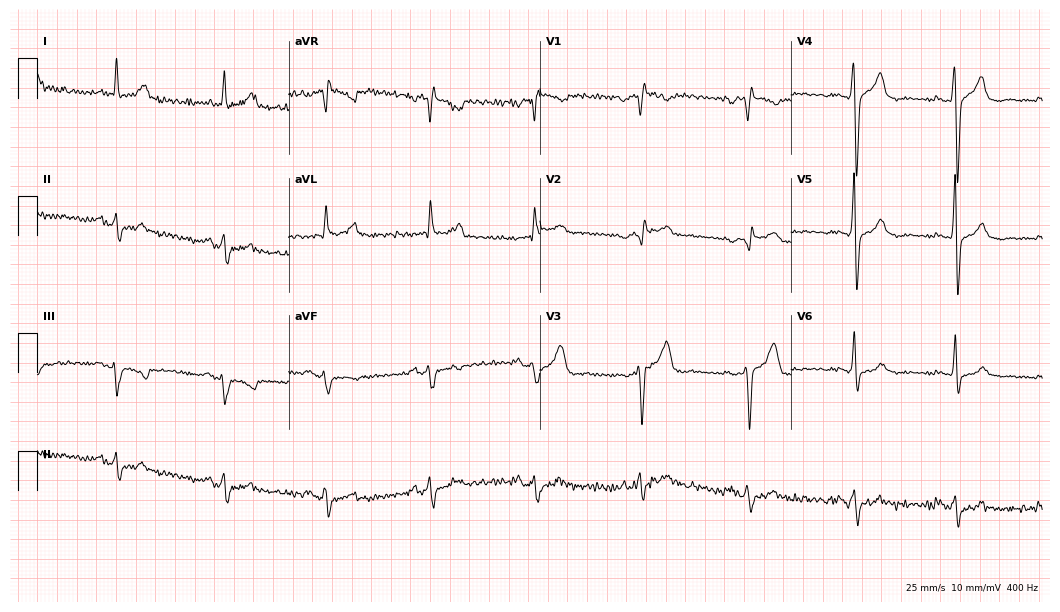
Electrocardiogram, a male patient, 50 years old. Interpretation includes right bundle branch block.